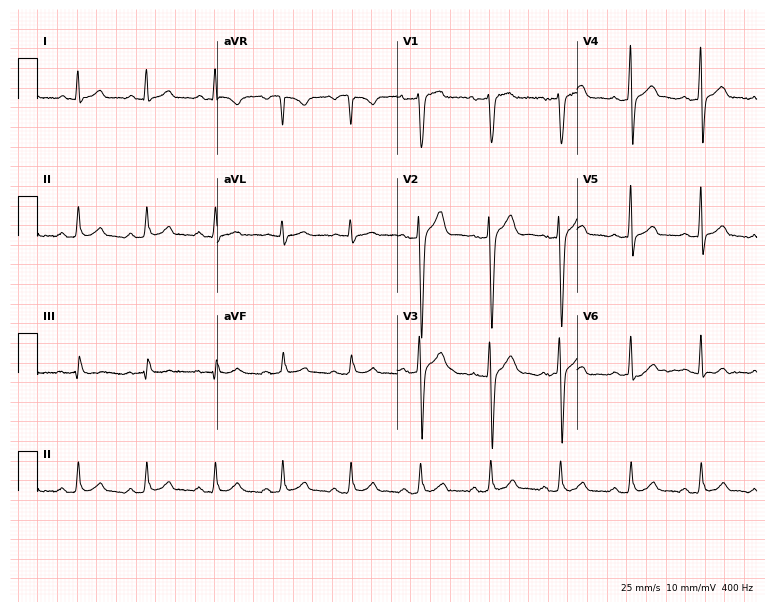
Standard 12-lead ECG recorded from a male patient, 42 years old (7.3-second recording at 400 Hz). Read as a normal ECG.